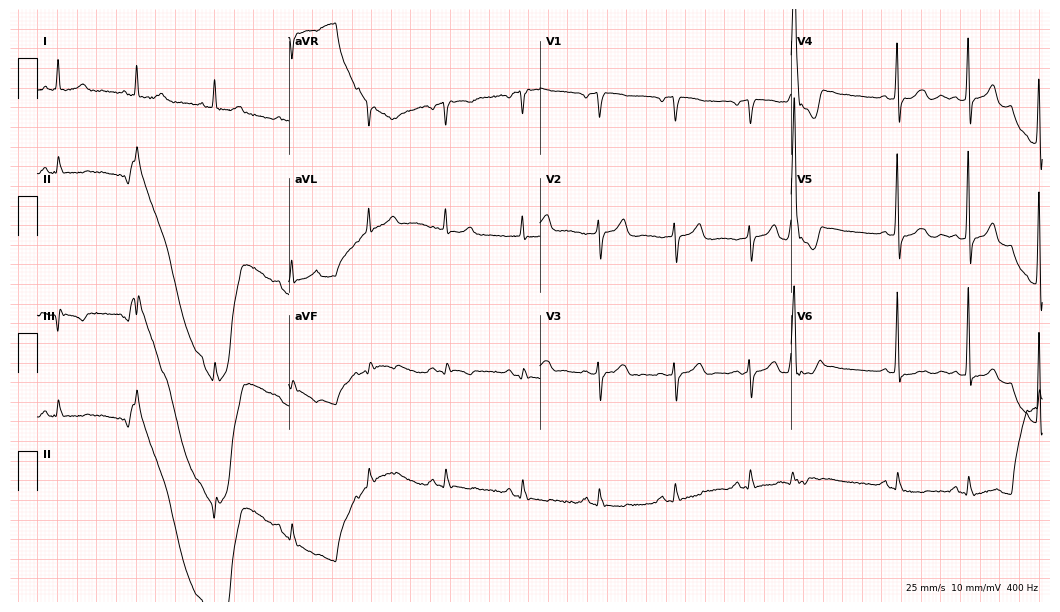
Standard 12-lead ECG recorded from a man, 81 years old (10.2-second recording at 400 Hz). None of these six findings is recorded: first-degree AV block, right bundle branch block, left bundle branch block, sinus bradycardia, atrial fibrillation, sinus tachycardia.